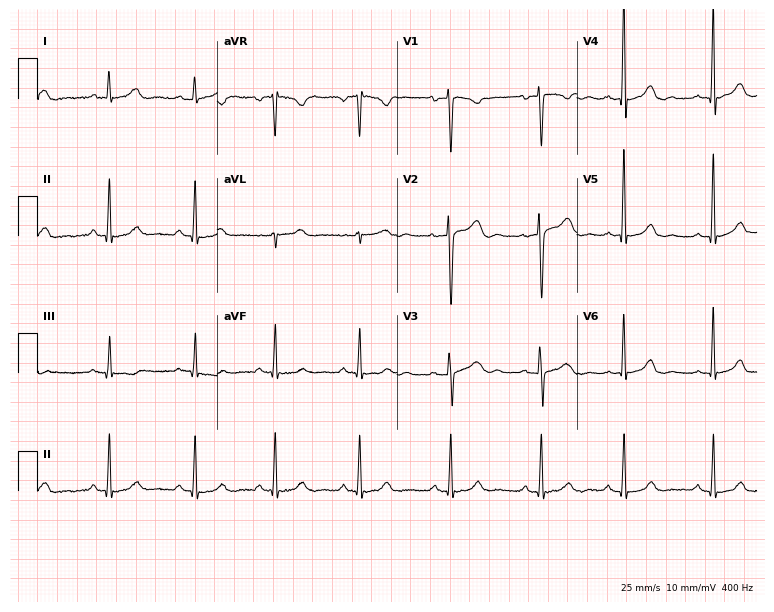
ECG (7.3-second recording at 400 Hz) — a female, 35 years old. Labelled as a normal ECG.